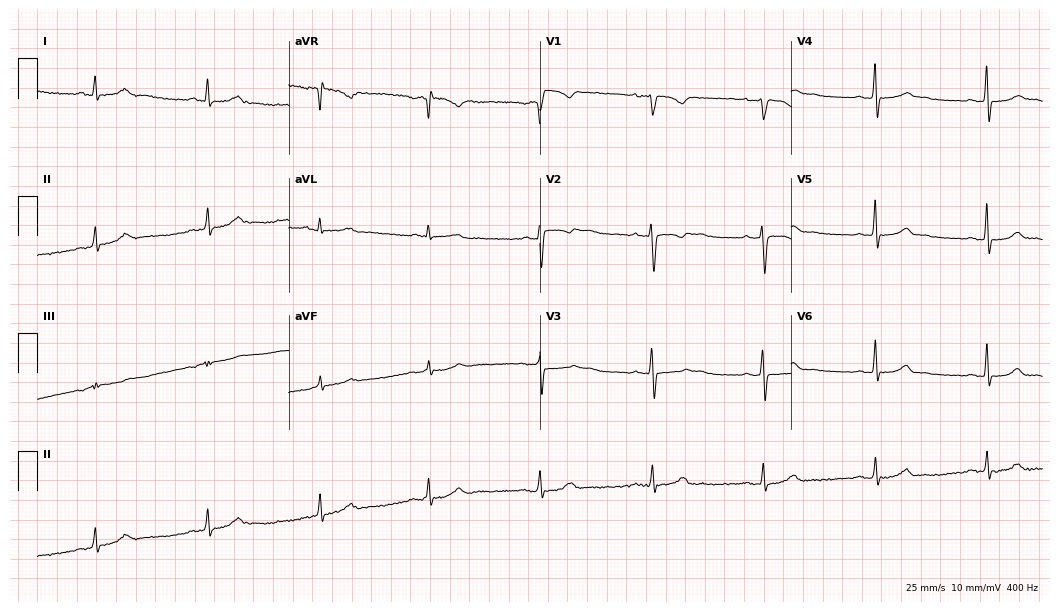
12-lead ECG from a female, 36 years old. Labelled as a normal ECG.